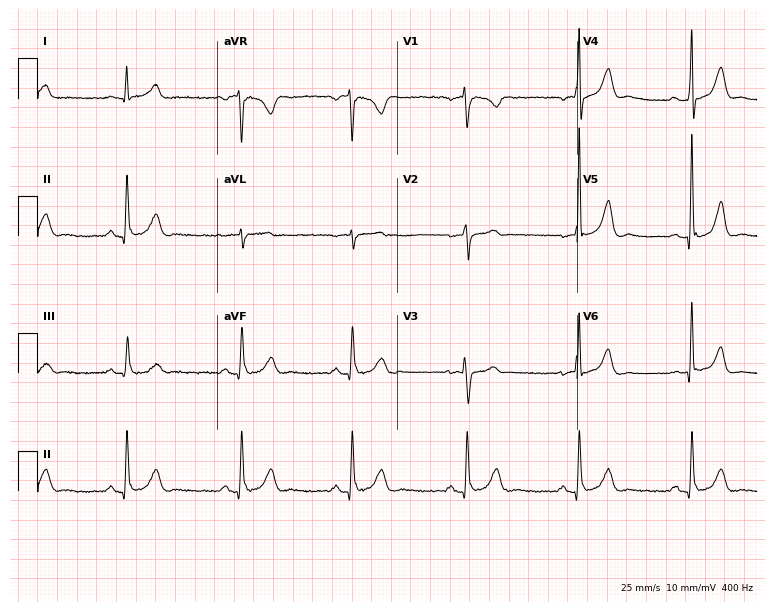
Electrocardiogram, a man, 52 years old. Of the six screened findings (first-degree AV block, right bundle branch block, left bundle branch block, sinus bradycardia, atrial fibrillation, sinus tachycardia), none is recorded.